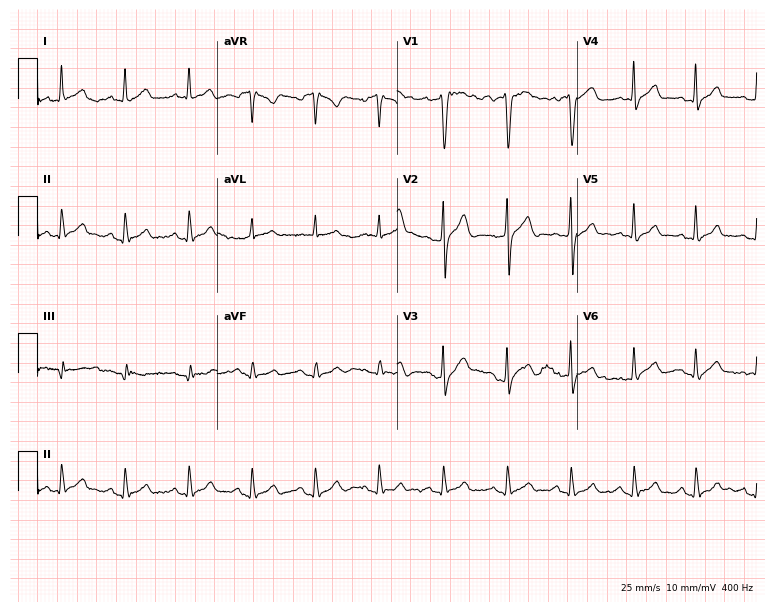
12-lead ECG (7.3-second recording at 400 Hz) from a male patient, 46 years old. Screened for six findings — first-degree AV block, right bundle branch block, left bundle branch block, sinus bradycardia, atrial fibrillation, sinus tachycardia — none is recorded. Other findings, if any, are not listed.